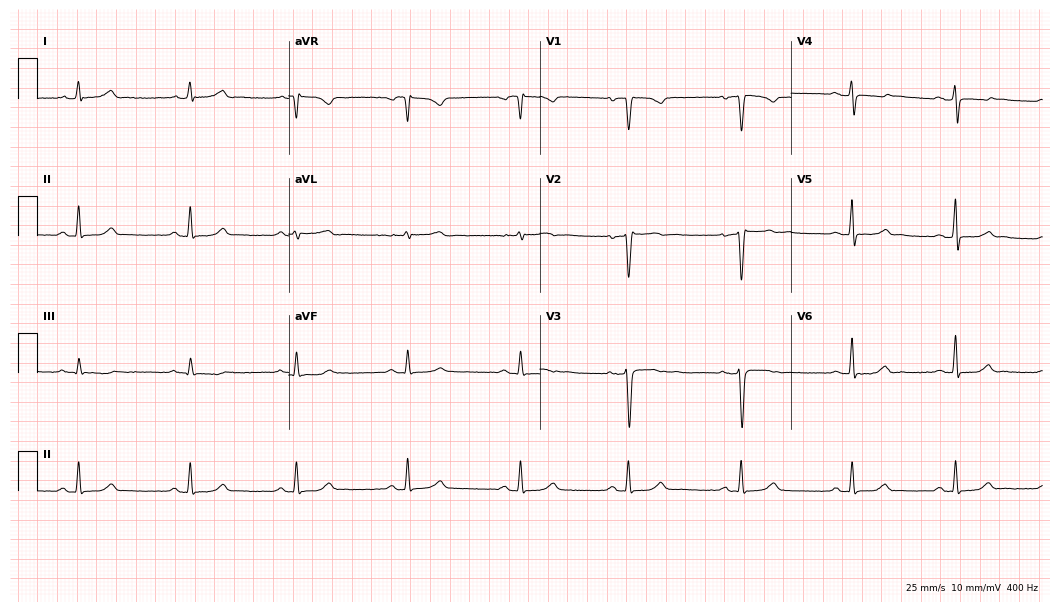
12-lead ECG from a female, 54 years old (10.2-second recording at 400 Hz). No first-degree AV block, right bundle branch block, left bundle branch block, sinus bradycardia, atrial fibrillation or sinus tachycardia recorded for this tracing.